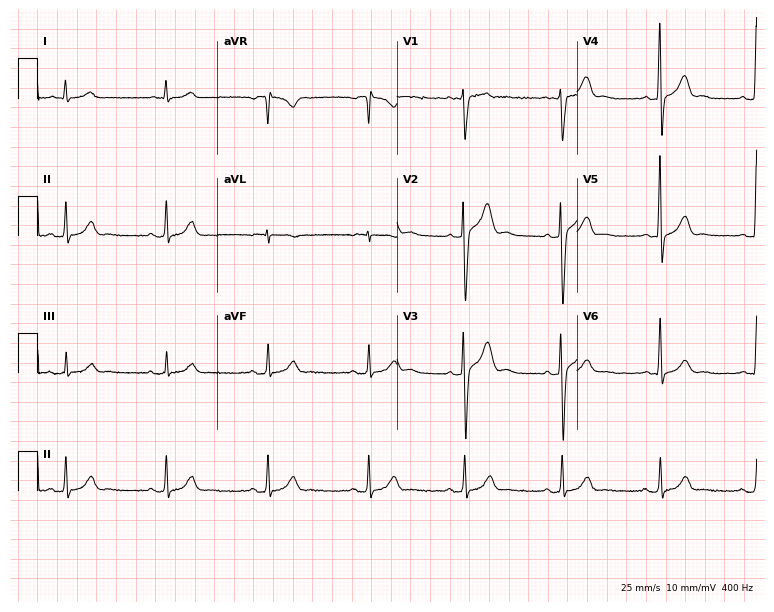
Standard 12-lead ECG recorded from a 34-year-old man (7.3-second recording at 400 Hz). Read as a normal ECG.